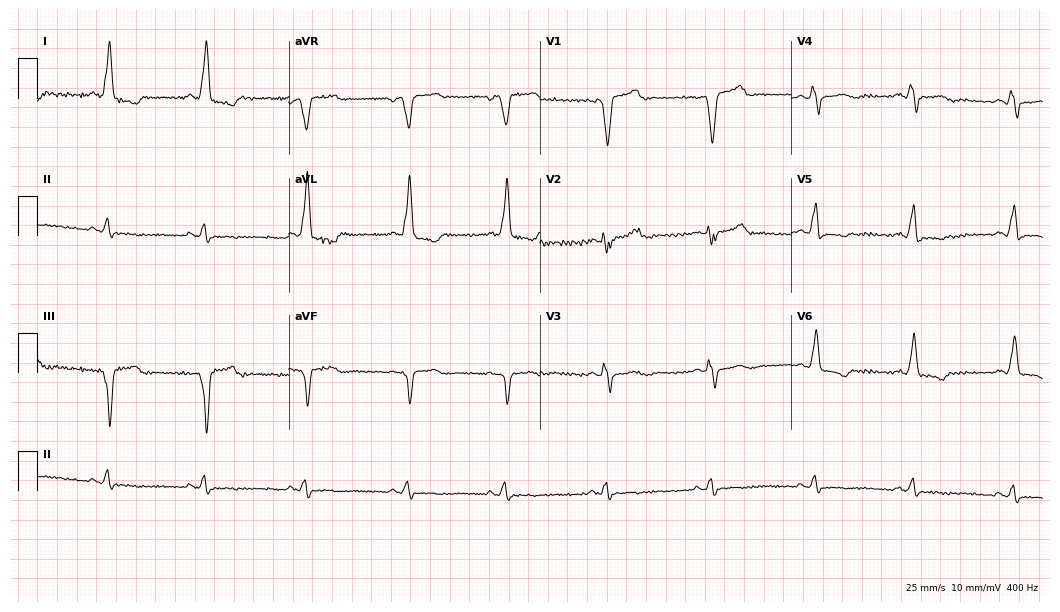
Standard 12-lead ECG recorded from a man, 60 years old (10.2-second recording at 400 Hz). The tracing shows left bundle branch block (LBBB).